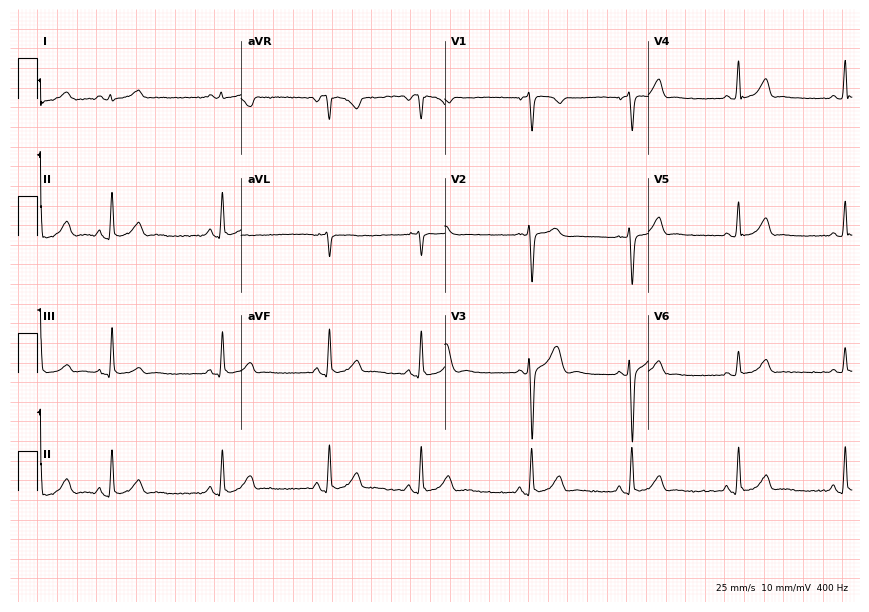
Electrocardiogram (8.3-second recording at 400 Hz), a female, 22 years old. Overall reading on record: normal ECG.